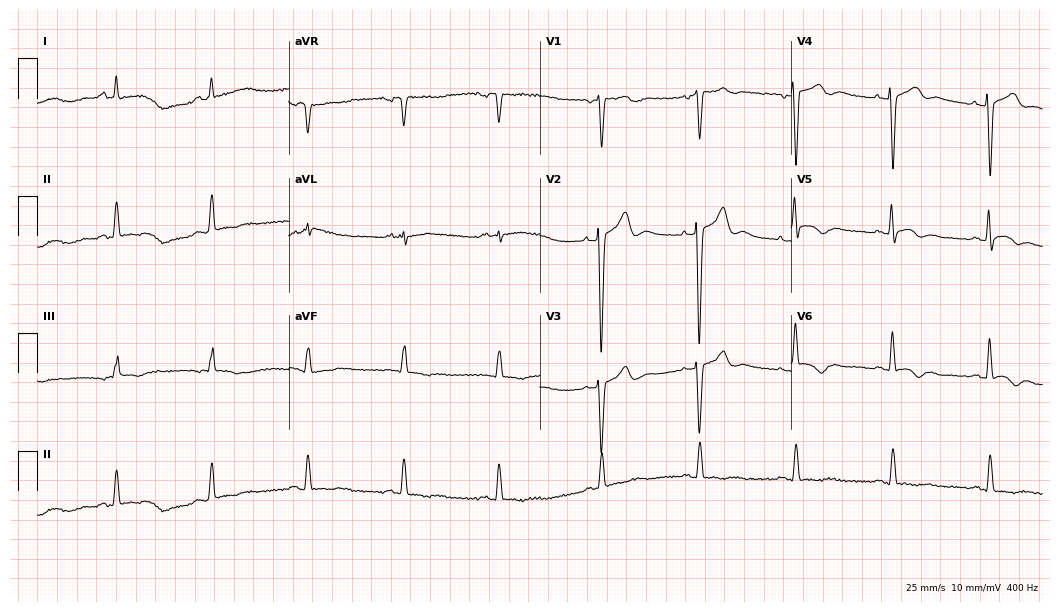
12-lead ECG from a 74-year-old female patient. No first-degree AV block, right bundle branch block (RBBB), left bundle branch block (LBBB), sinus bradycardia, atrial fibrillation (AF) or sinus tachycardia recorded for this tracing.